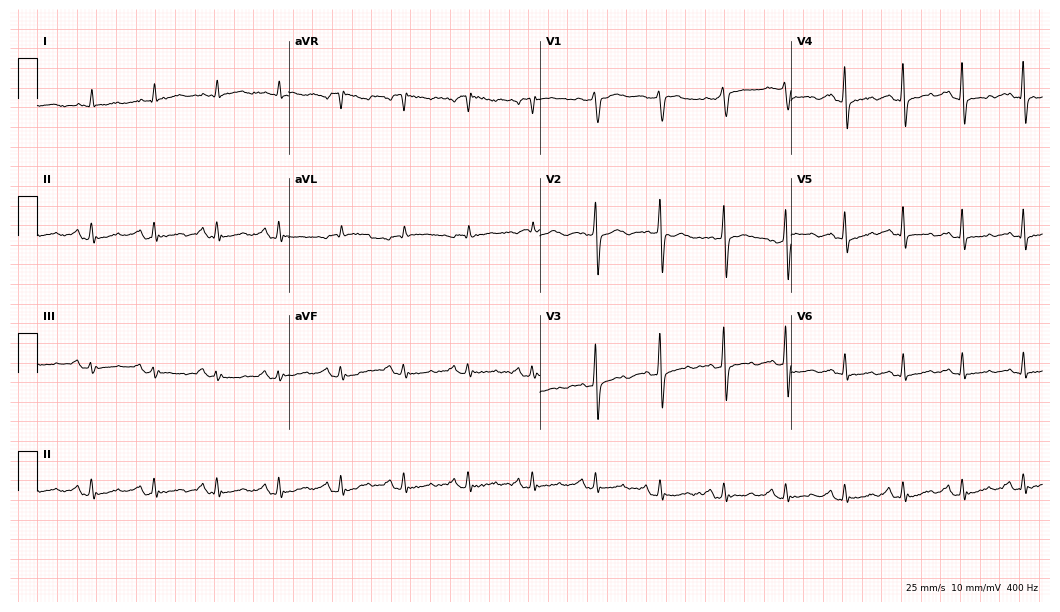
12-lead ECG from a man, 71 years old (10.2-second recording at 400 Hz). No first-degree AV block, right bundle branch block, left bundle branch block, sinus bradycardia, atrial fibrillation or sinus tachycardia recorded for this tracing. Findings outside these six are not listed.